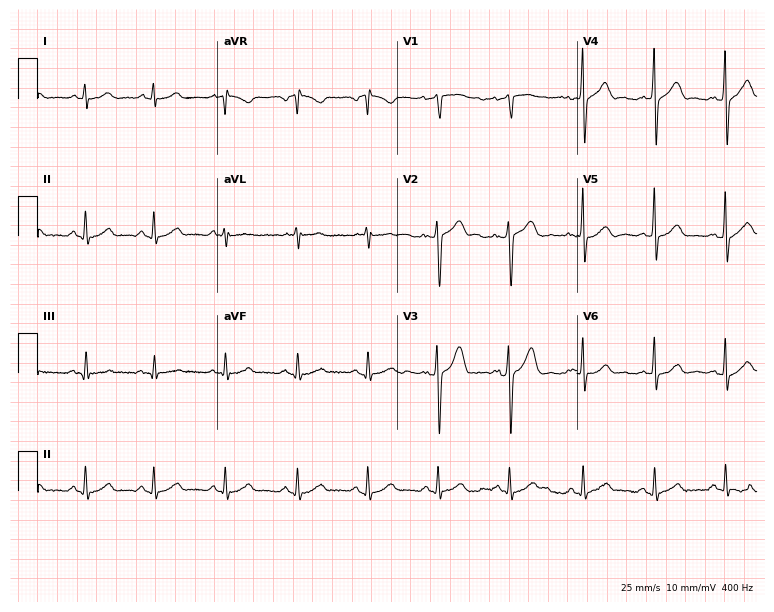
Resting 12-lead electrocardiogram. Patient: a male, 47 years old. Read as a normal ECG.